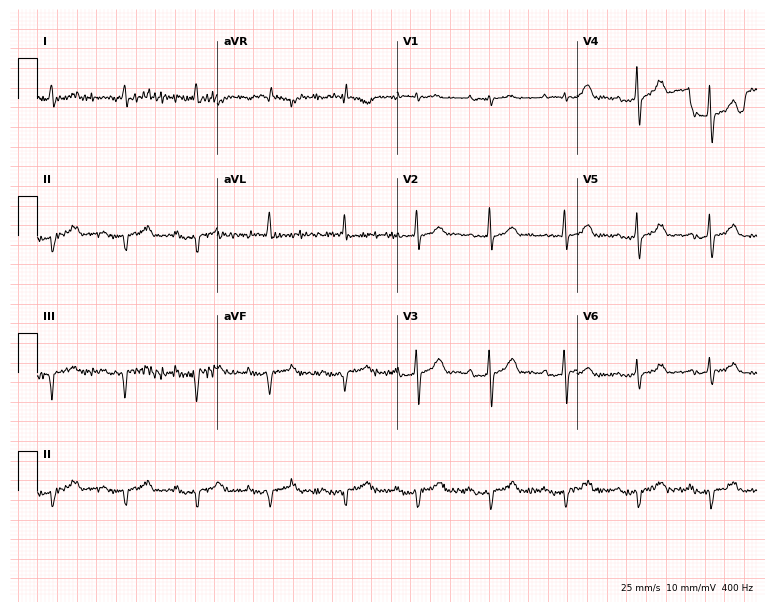
ECG (7.3-second recording at 400 Hz) — a woman, 82 years old. Labelled as a normal ECG.